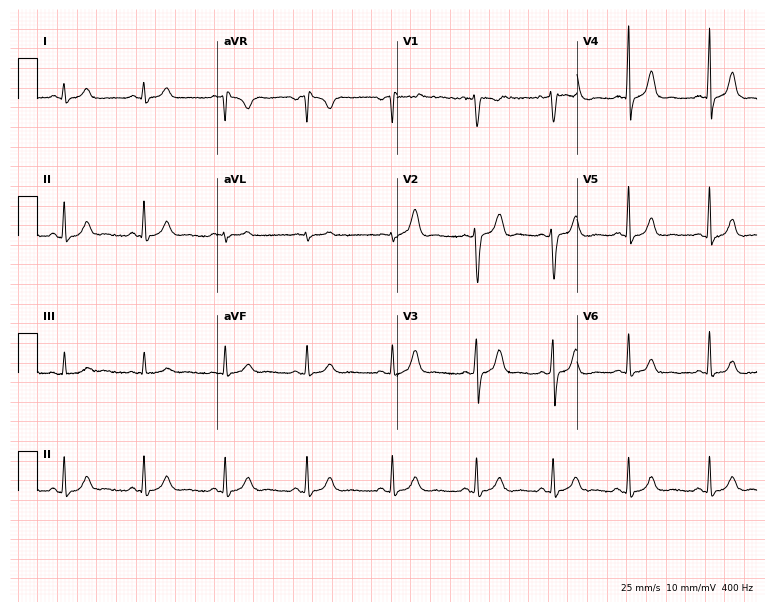
12-lead ECG from a female, 31 years old (7.3-second recording at 400 Hz). No first-degree AV block, right bundle branch block, left bundle branch block, sinus bradycardia, atrial fibrillation or sinus tachycardia recorded for this tracing.